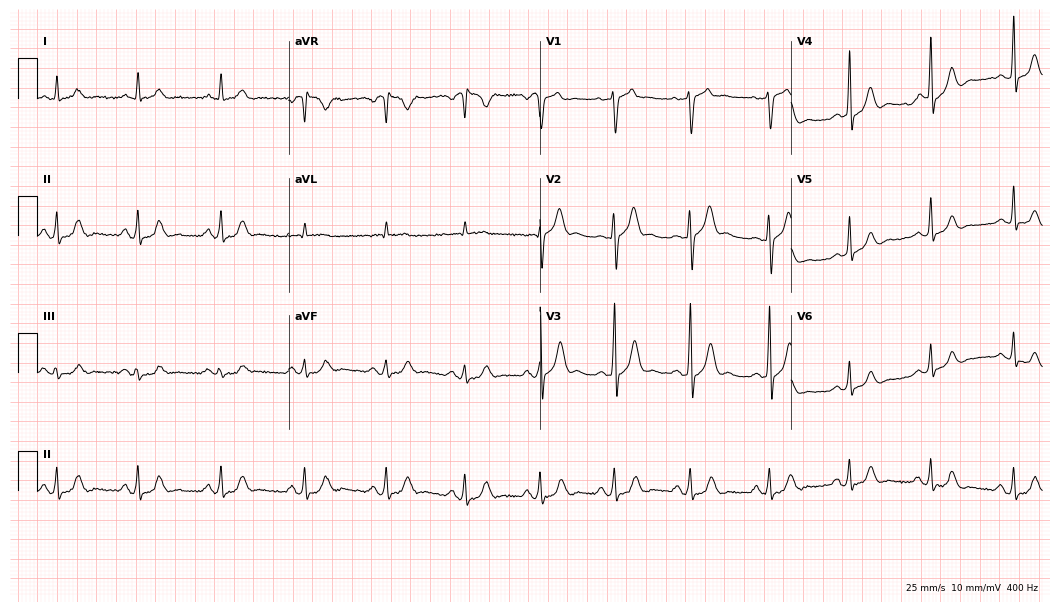
12-lead ECG (10.2-second recording at 400 Hz) from a 48-year-old male. Screened for six findings — first-degree AV block, right bundle branch block, left bundle branch block, sinus bradycardia, atrial fibrillation, sinus tachycardia — none is recorded.